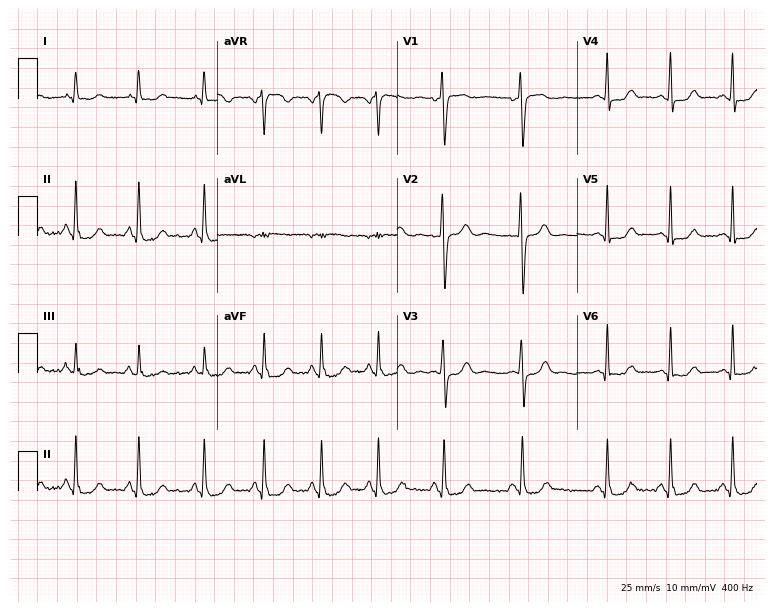
ECG — a 20-year-old woman. Screened for six findings — first-degree AV block, right bundle branch block, left bundle branch block, sinus bradycardia, atrial fibrillation, sinus tachycardia — none is recorded.